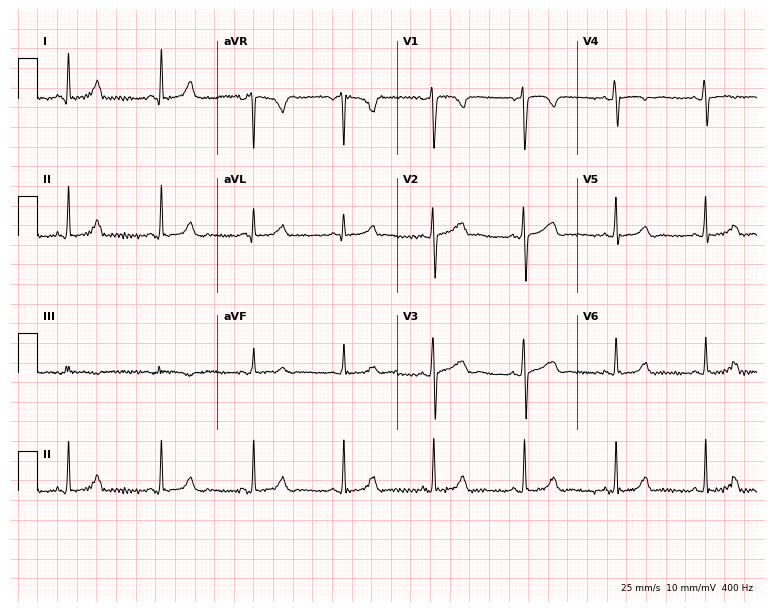
ECG (7.3-second recording at 400 Hz) — a 36-year-old female. Labelled as a normal ECG.